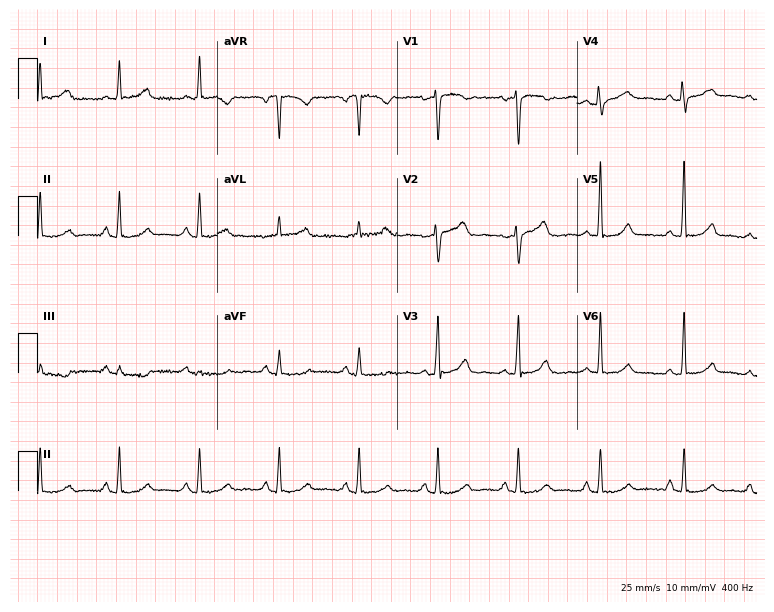
12-lead ECG from a woman, 60 years old. Screened for six findings — first-degree AV block, right bundle branch block, left bundle branch block, sinus bradycardia, atrial fibrillation, sinus tachycardia — none is recorded. Findings outside these six are not listed.